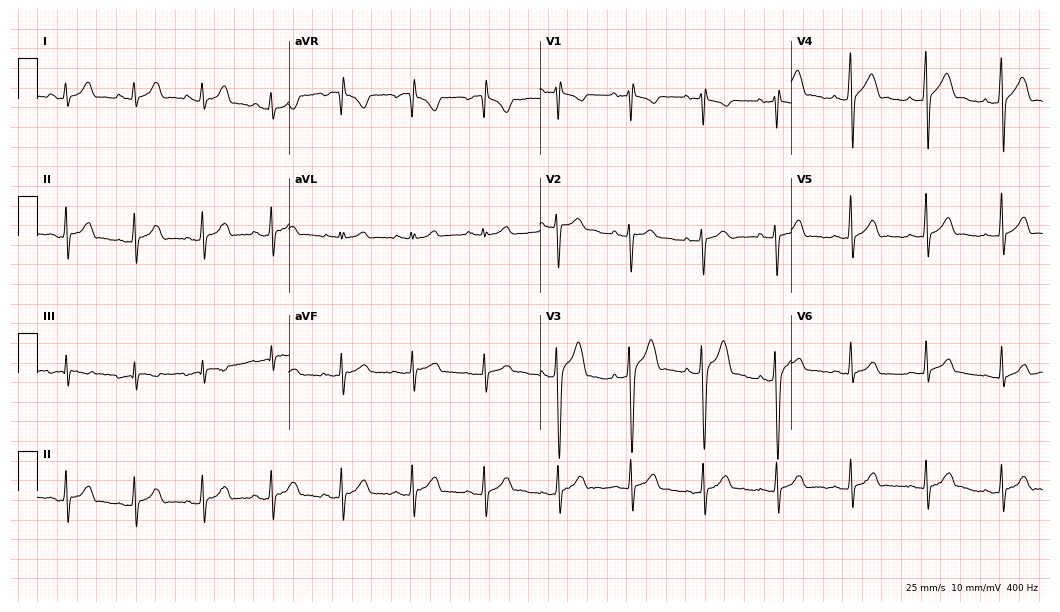
Resting 12-lead electrocardiogram (10.2-second recording at 400 Hz). Patient: a 22-year-old male. Read as a normal ECG.